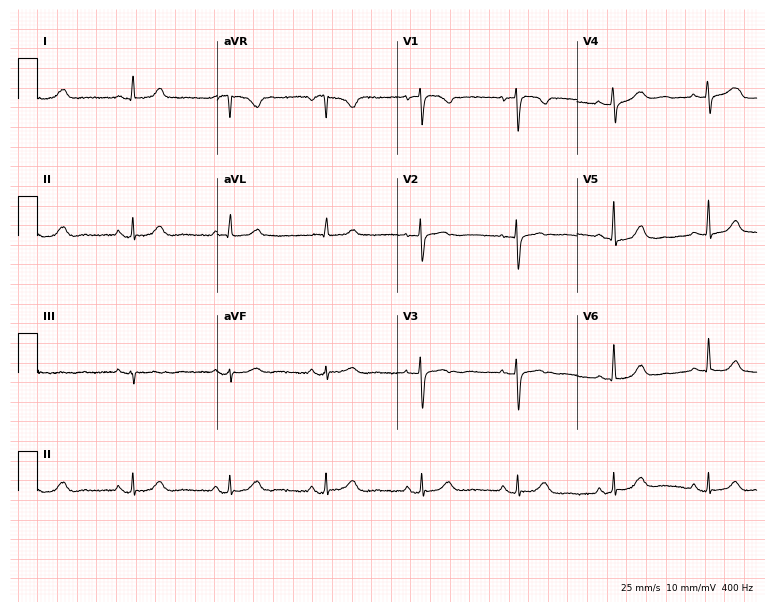
Standard 12-lead ECG recorded from a 65-year-old woman. Read as a normal ECG.